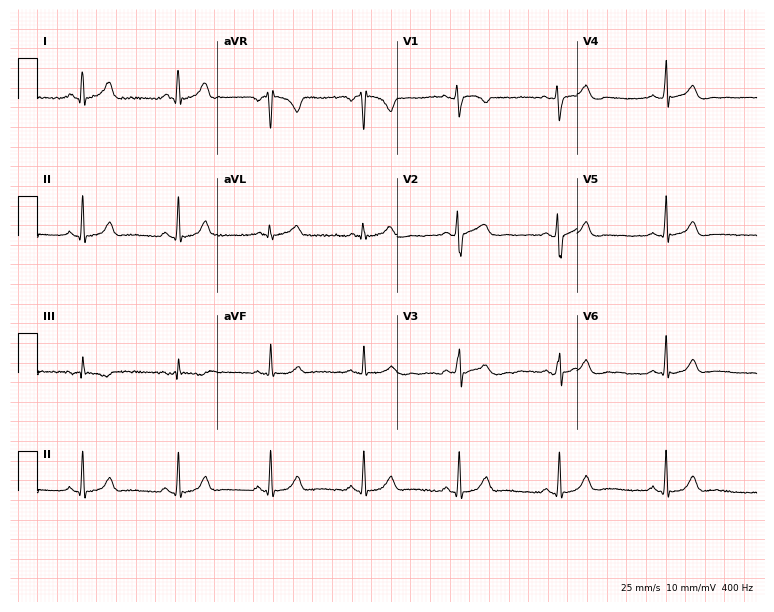
Electrocardiogram (7.3-second recording at 400 Hz), a 19-year-old female patient. Of the six screened findings (first-degree AV block, right bundle branch block (RBBB), left bundle branch block (LBBB), sinus bradycardia, atrial fibrillation (AF), sinus tachycardia), none is recorded. Findings outside these six are not listed.